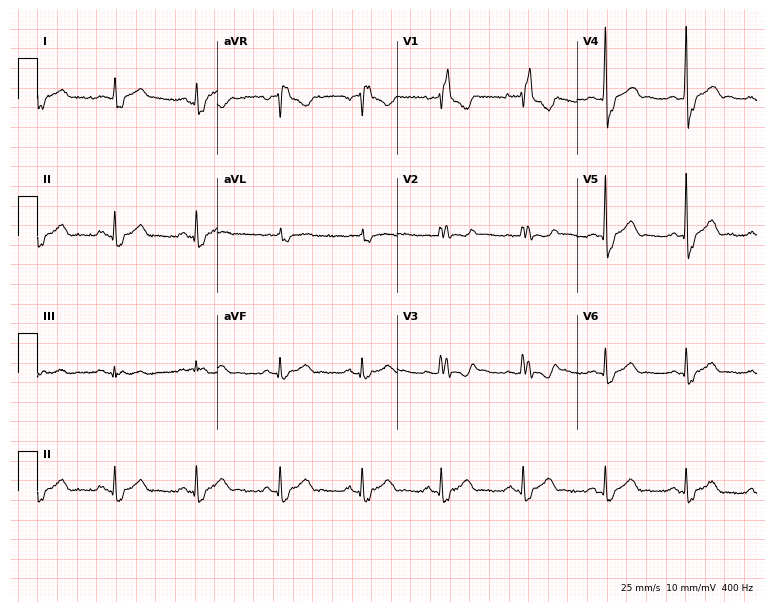
12-lead ECG (7.3-second recording at 400 Hz) from a 56-year-old male patient. Findings include right bundle branch block (RBBB).